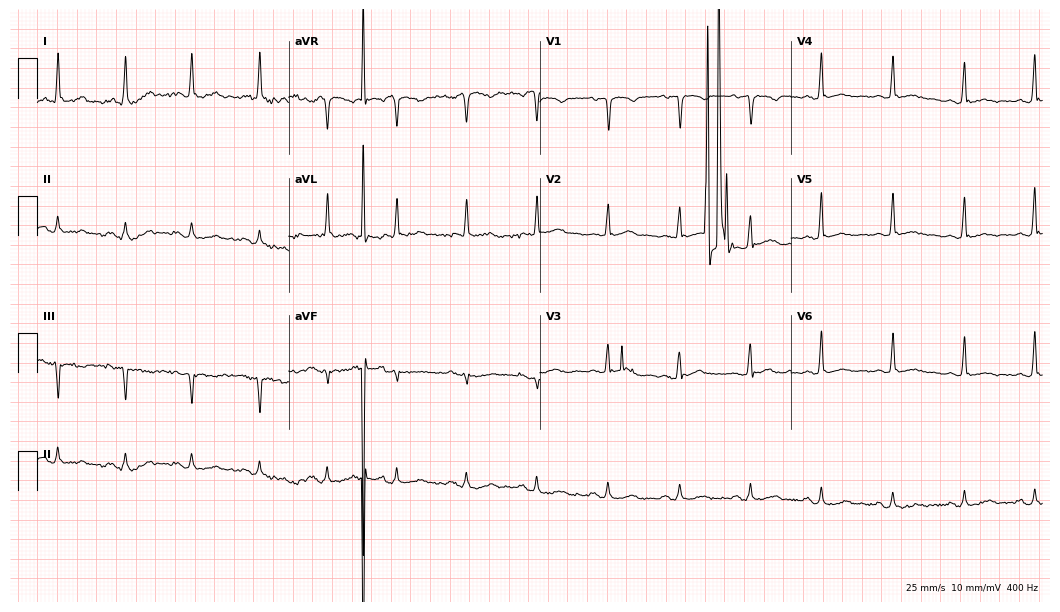
ECG (10.2-second recording at 400 Hz) — a female patient, 69 years old. Screened for six findings — first-degree AV block, right bundle branch block, left bundle branch block, sinus bradycardia, atrial fibrillation, sinus tachycardia — none is recorded.